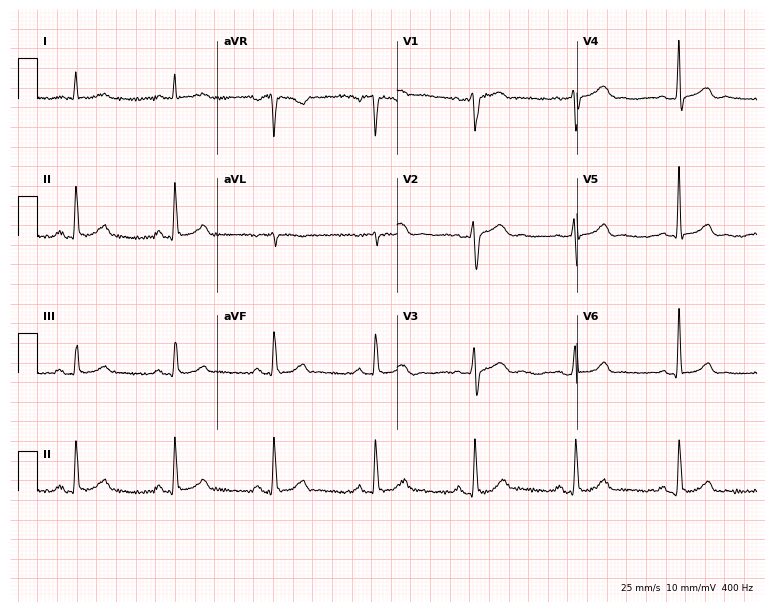
12-lead ECG (7.3-second recording at 400 Hz) from a man, 58 years old. Labelled as a normal ECG.